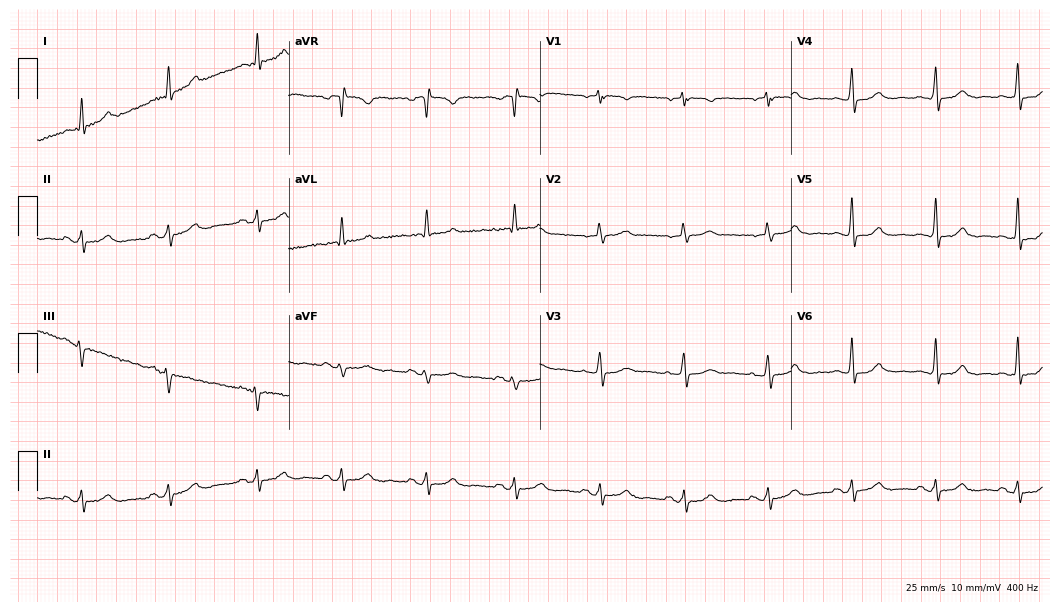
Electrocardiogram, a 63-year-old male. Overall reading on record: normal ECG.